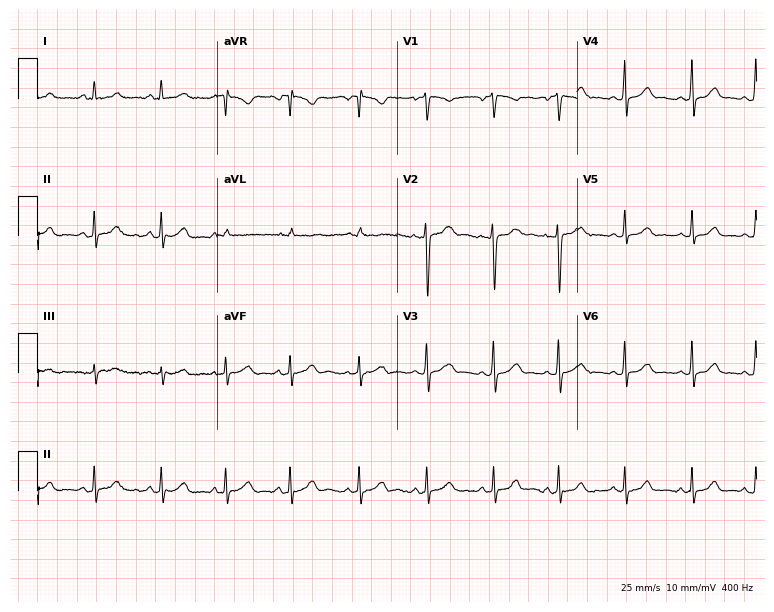
ECG (7.3-second recording at 400 Hz) — a woman, 20 years old. Labelled as a normal ECG.